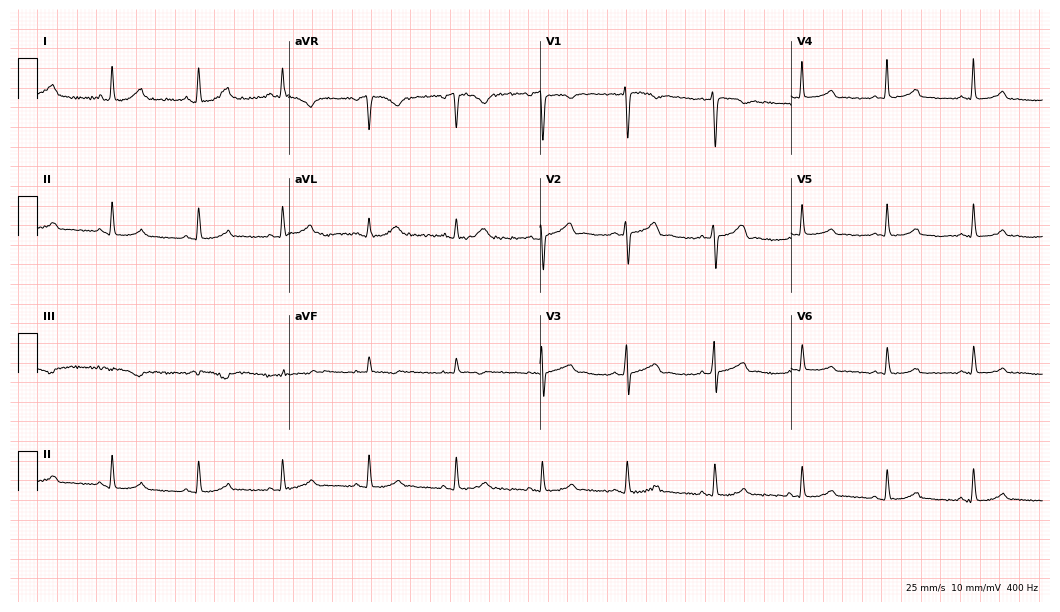
Standard 12-lead ECG recorded from a female, 41 years old (10.2-second recording at 400 Hz). Read as a normal ECG.